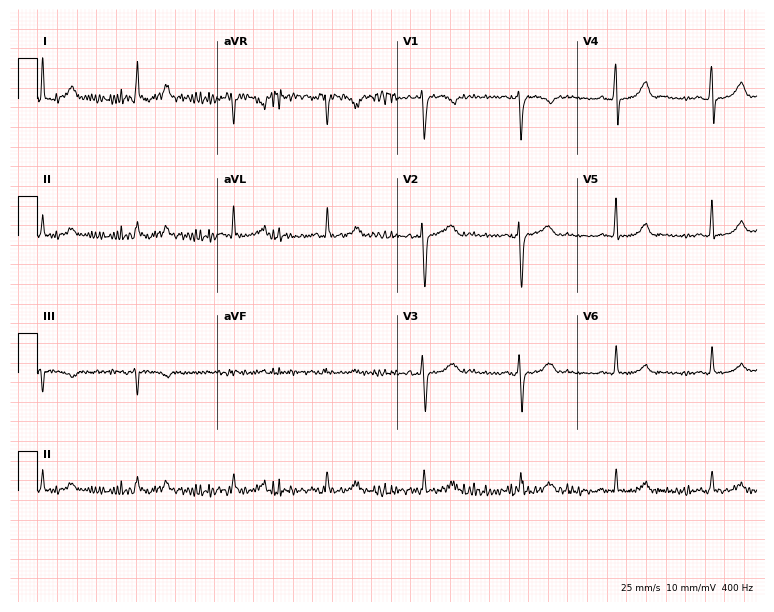
Electrocardiogram (7.3-second recording at 400 Hz), a 47-year-old woman. Overall reading on record: normal ECG.